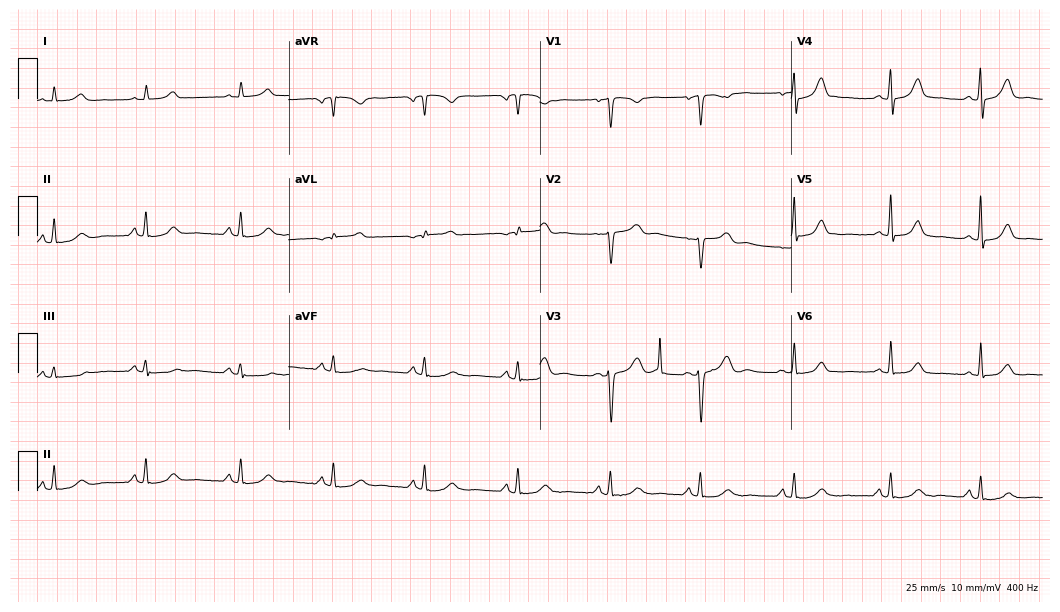
ECG (10.2-second recording at 400 Hz) — a 44-year-old woman. Screened for six findings — first-degree AV block, right bundle branch block (RBBB), left bundle branch block (LBBB), sinus bradycardia, atrial fibrillation (AF), sinus tachycardia — none is recorded.